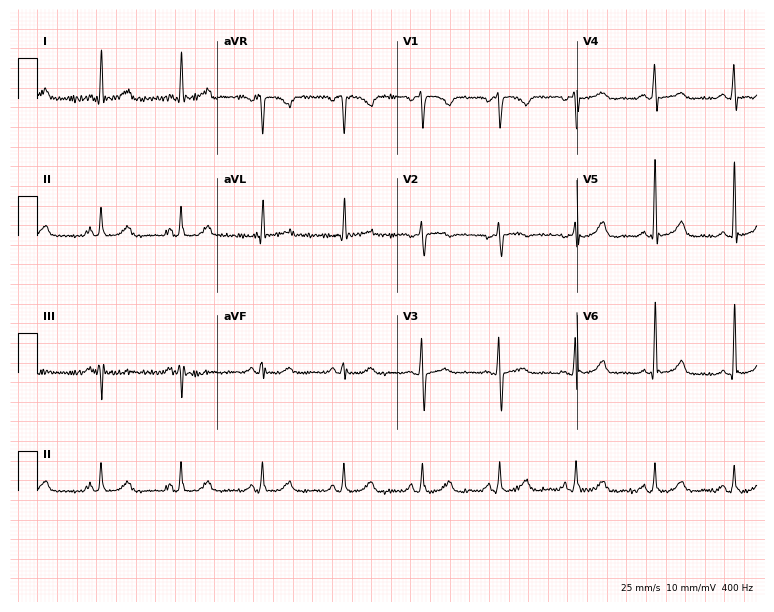
Resting 12-lead electrocardiogram (7.3-second recording at 400 Hz). Patient: a 53-year-old female. None of these six findings is recorded: first-degree AV block, right bundle branch block, left bundle branch block, sinus bradycardia, atrial fibrillation, sinus tachycardia.